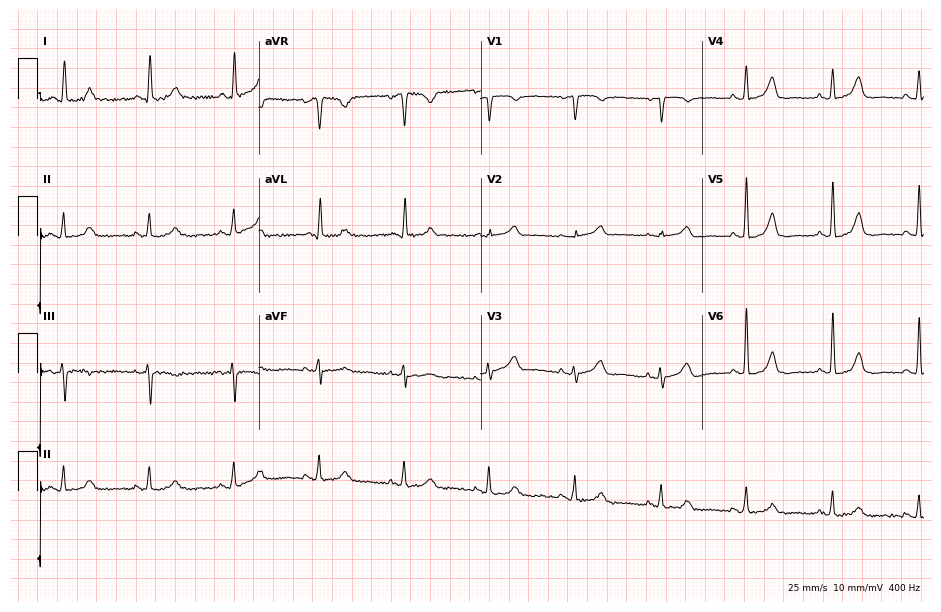
ECG — a female, 82 years old. Labelled as a normal ECG.